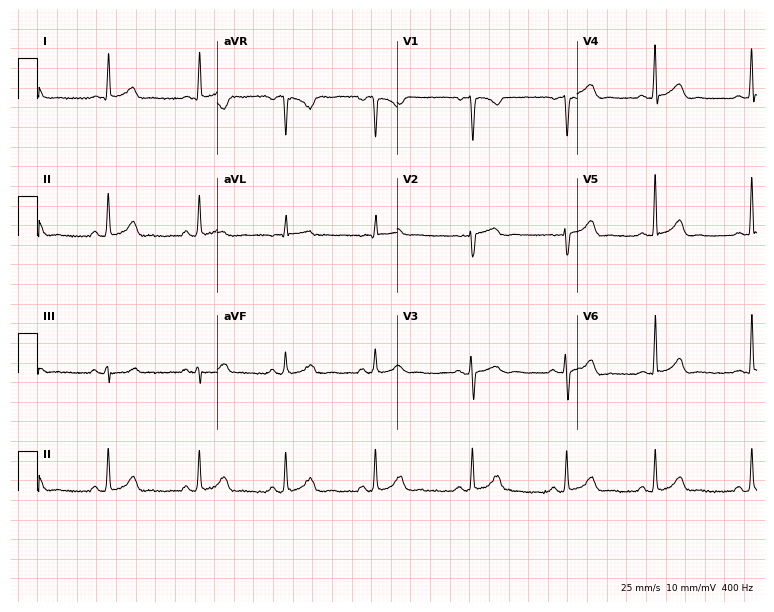
12-lead ECG from a 36-year-old woman (7.3-second recording at 400 Hz). Recorded interpretation: within normal limits.